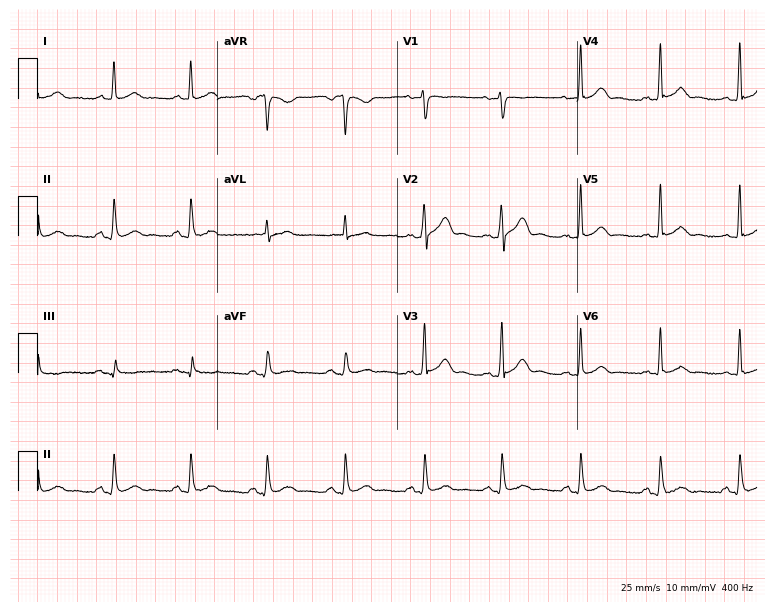
Electrocardiogram, a male patient, 43 years old. Overall reading on record: normal ECG.